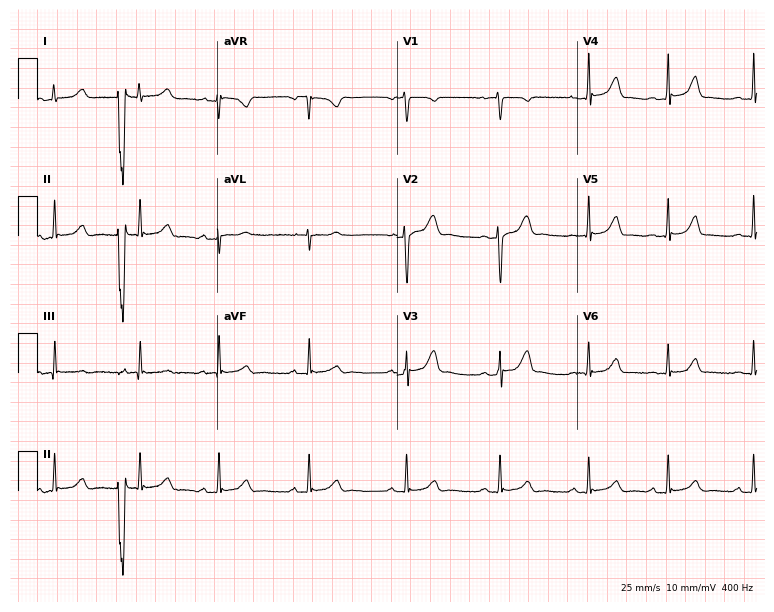
12-lead ECG from a female patient, 19 years old (7.3-second recording at 400 Hz). Recorded interpretation: within normal limits.